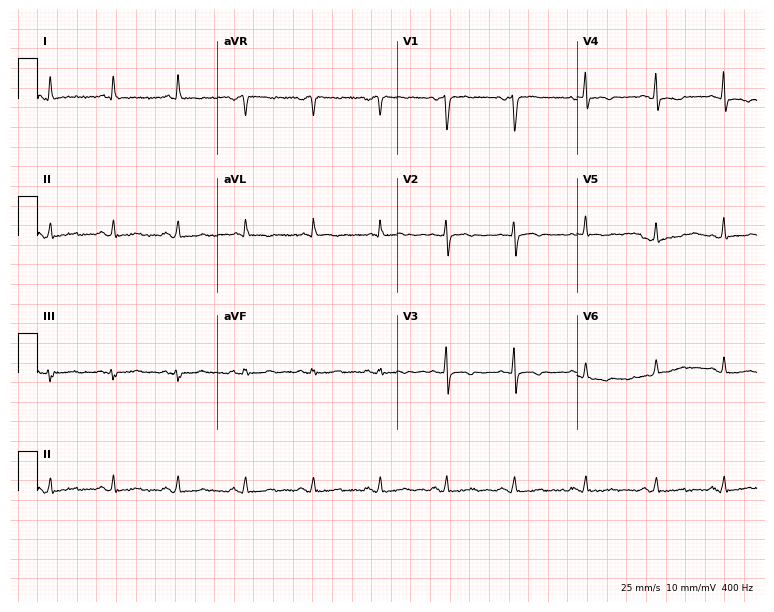
Resting 12-lead electrocardiogram. Patient: a 49-year-old female. None of these six findings is recorded: first-degree AV block, right bundle branch block, left bundle branch block, sinus bradycardia, atrial fibrillation, sinus tachycardia. Other findings, if any, are not listed.